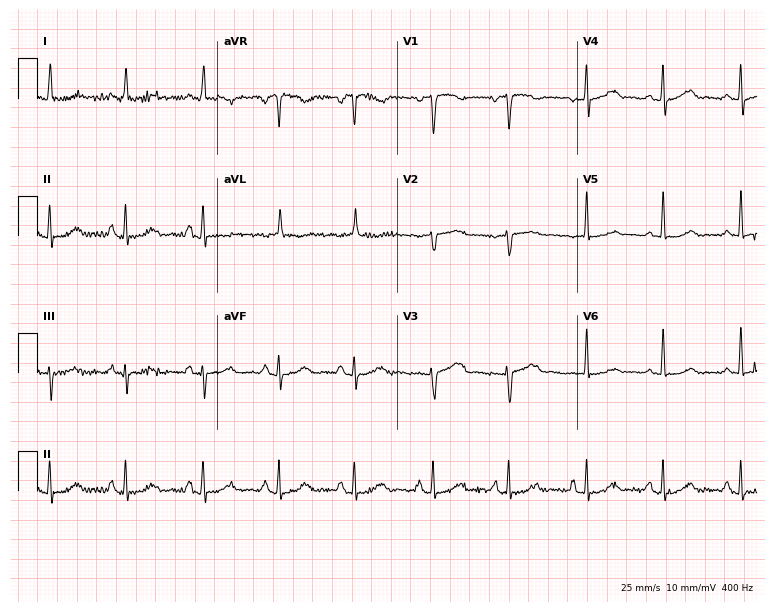
12-lead ECG from a woman, 80 years old (7.3-second recording at 400 Hz). No first-degree AV block, right bundle branch block (RBBB), left bundle branch block (LBBB), sinus bradycardia, atrial fibrillation (AF) or sinus tachycardia recorded for this tracing. Findings outside these six are not listed.